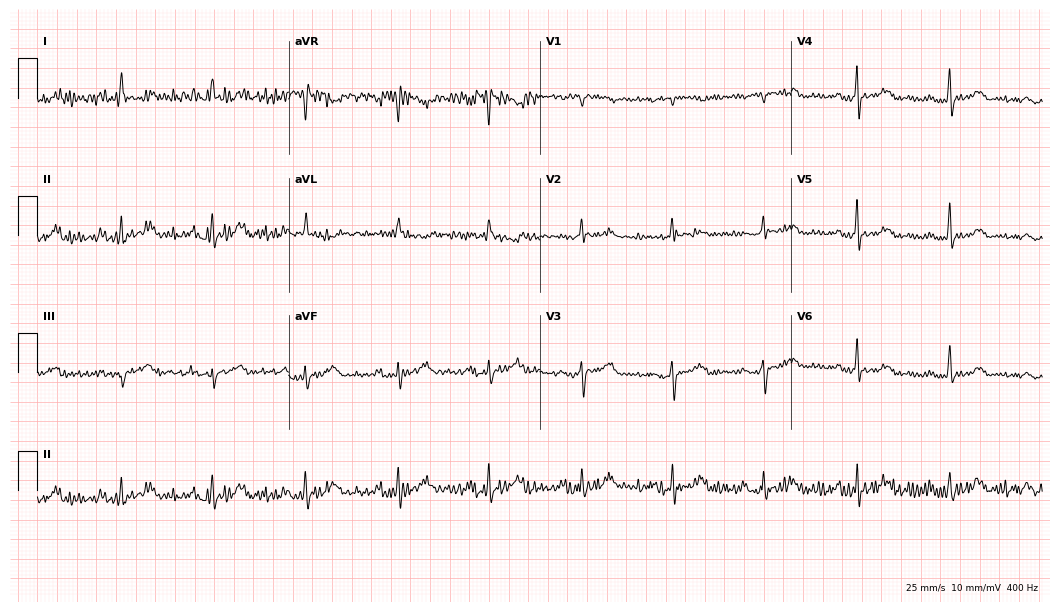
12-lead ECG (10.2-second recording at 400 Hz) from a 72-year-old female. Labelled as a normal ECG.